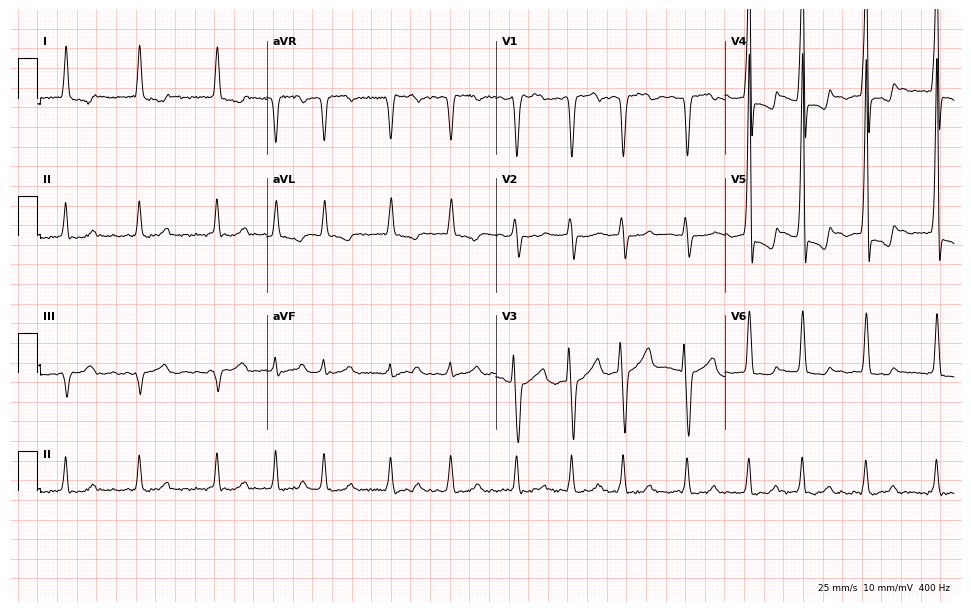
Resting 12-lead electrocardiogram (9.3-second recording at 400 Hz). Patient: a 53-year-old male. The tracing shows atrial fibrillation (AF).